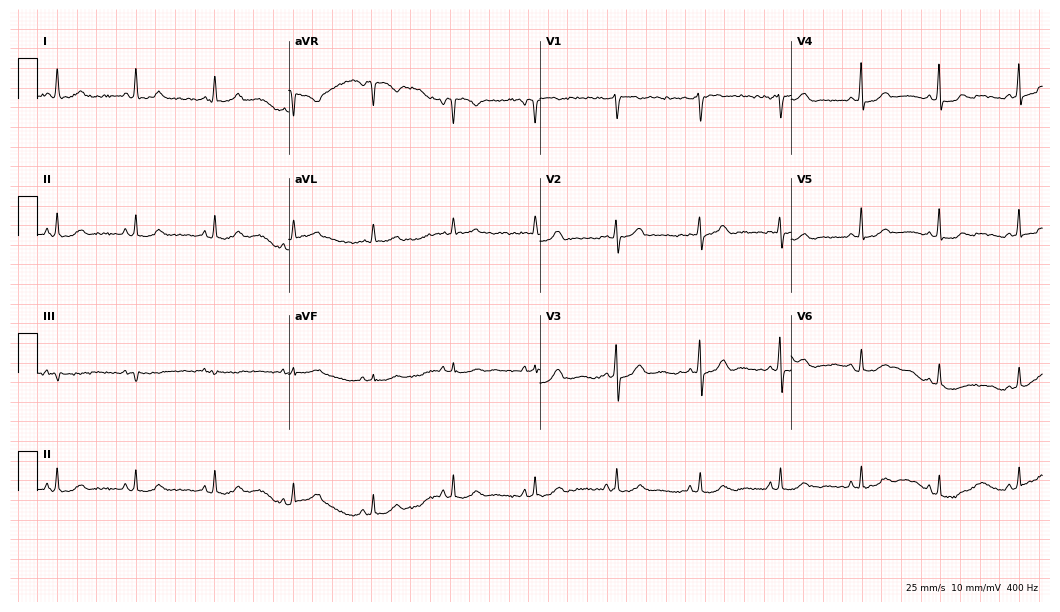
ECG — a 61-year-old female patient. Labelled as a normal ECG.